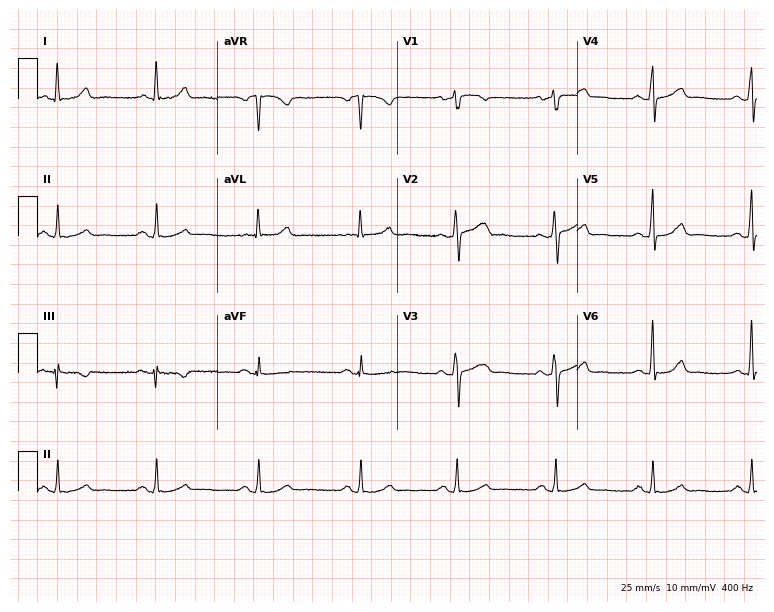
Electrocardiogram, a 56-year-old woman. Overall reading on record: normal ECG.